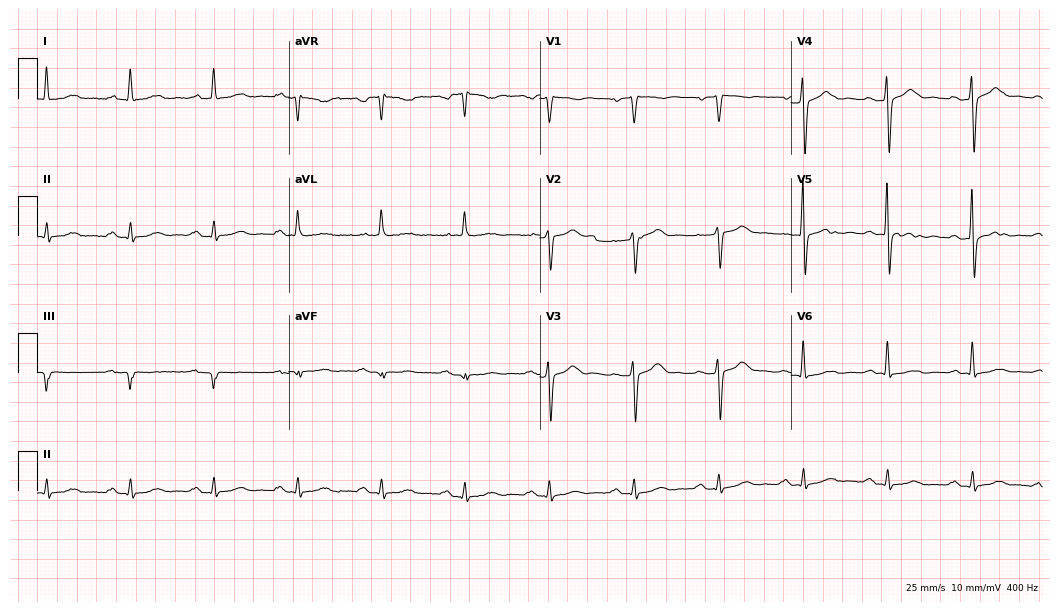
12-lead ECG (10.2-second recording at 400 Hz) from a 75-year-old man. Screened for six findings — first-degree AV block, right bundle branch block, left bundle branch block, sinus bradycardia, atrial fibrillation, sinus tachycardia — none is recorded. Only these six findings were labelled.